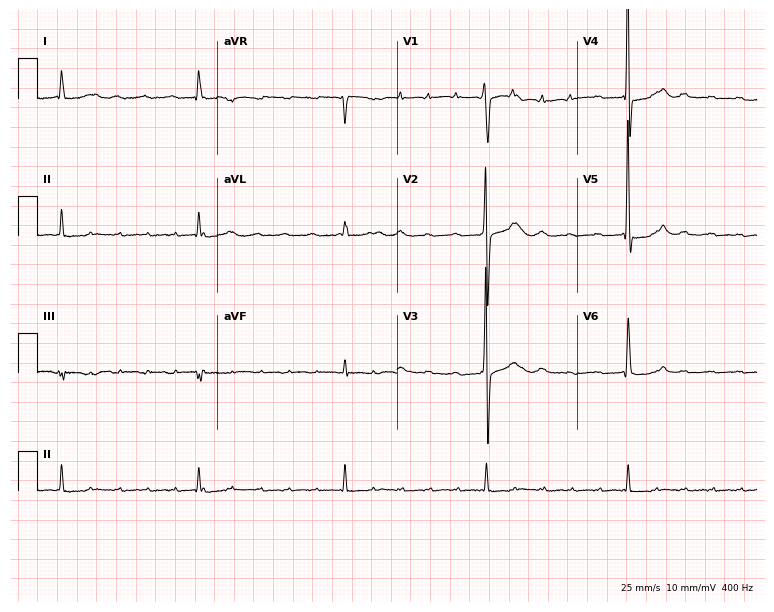
12-lead ECG from a 78-year-old male. No first-degree AV block, right bundle branch block, left bundle branch block, sinus bradycardia, atrial fibrillation or sinus tachycardia recorded for this tracing. Other findings, if any, are not listed.